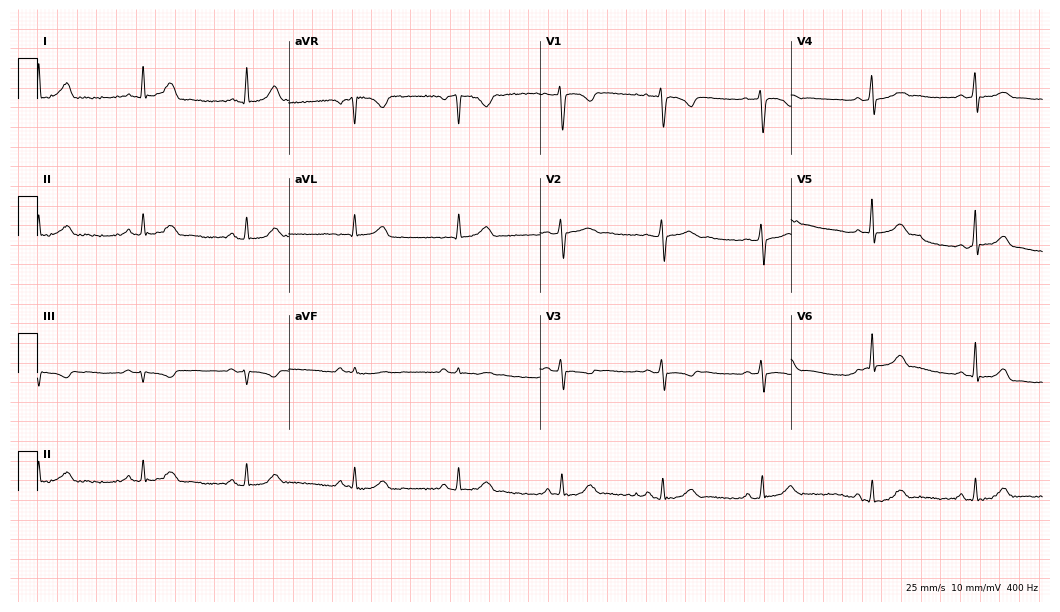
Standard 12-lead ECG recorded from a female patient, 35 years old (10.2-second recording at 400 Hz). Read as a normal ECG.